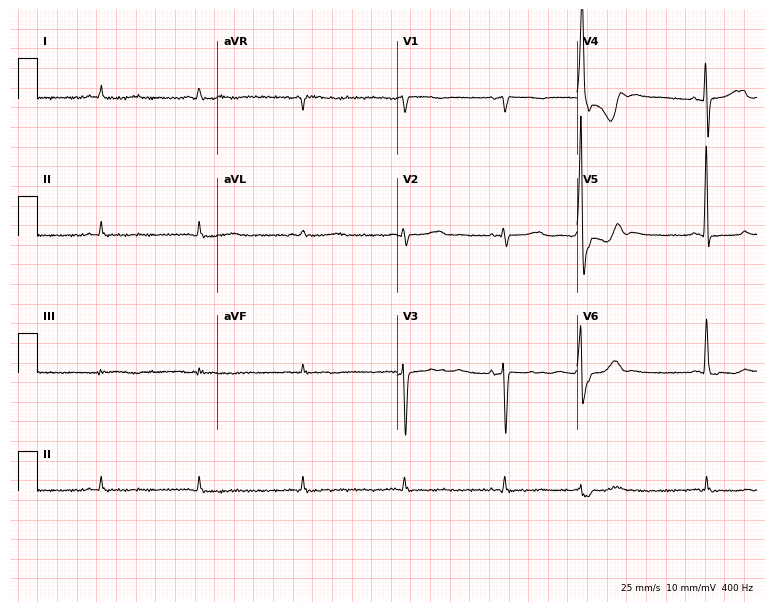
ECG (7.3-second recording at 400 Hz) — a 79-year-old female. Screened for six findings — first-degree AV block, right bundle branch block, left bundle branch block, sinus bradycardia, atrial fibrillation, sinus tachycardia — none is recorded. Other findings, if any, are not listed.